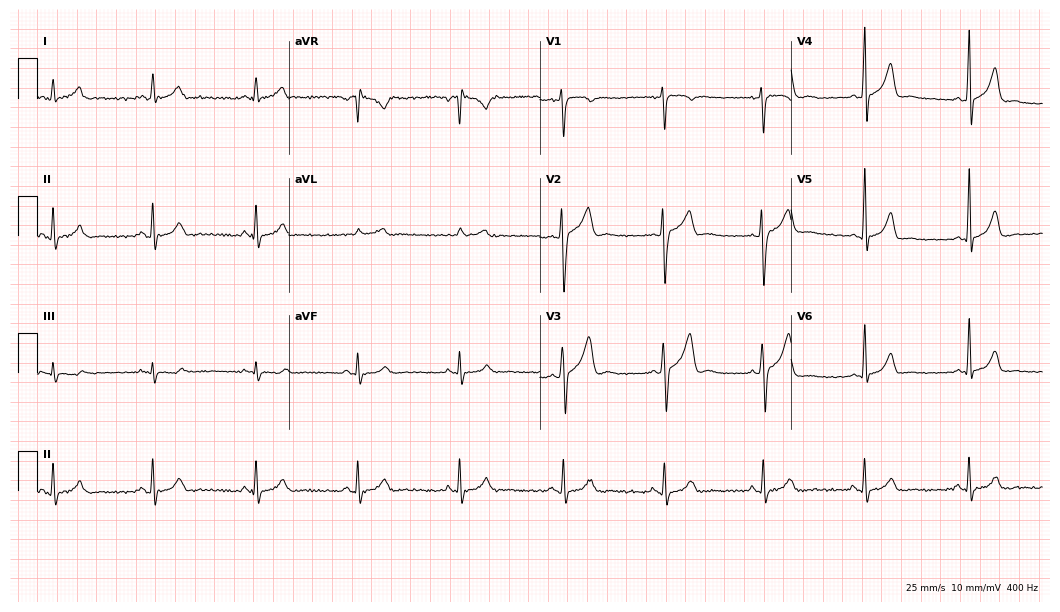
ECG (10.2-second recording at 400 Hz) — a male patient, 37 years old. Labelled as a normal ECG.